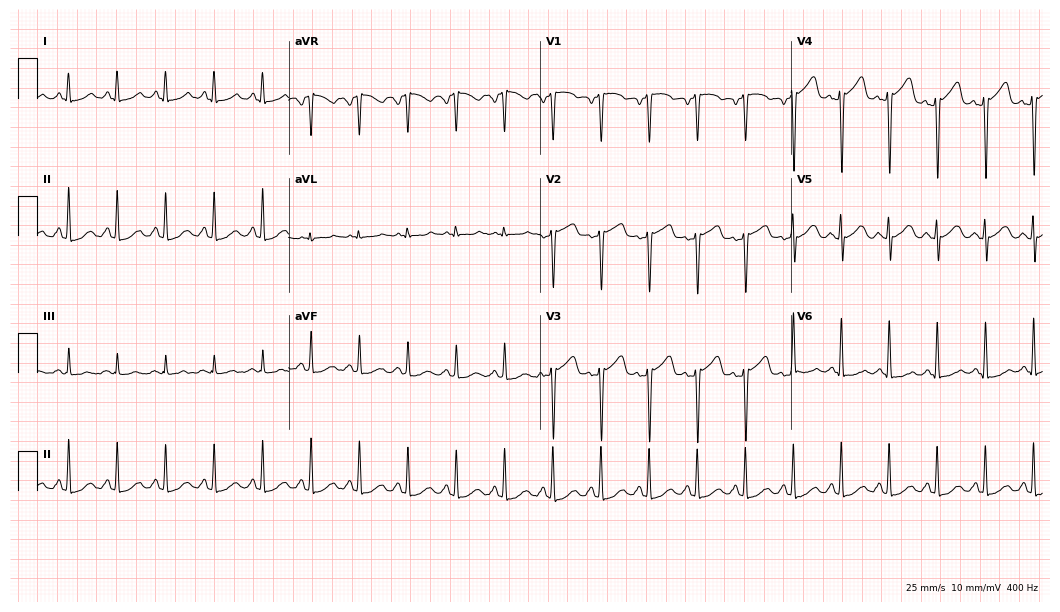
12-lead ECG (10.2-second recording at 400 Hz) from a 25-year-old female. Findings include sinus tachycardia (a sinus rate of 100 beats per minute or more).